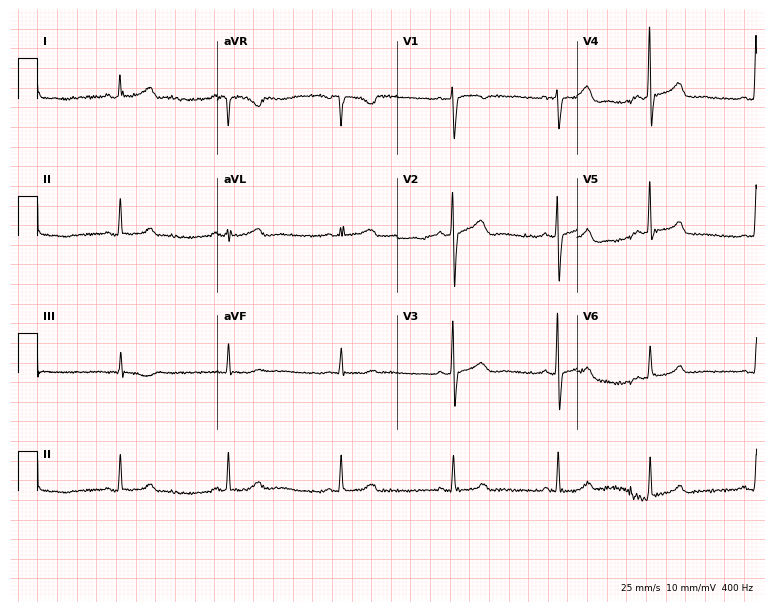
ECG — a 38-year-old female. Screened for six findings — first-degree AV block, right bundle branch block (RBBB), left bundle branch block (LBBB), sinus bradycardia, atrial fibrillation (AF), sinus tachycardia — none is recorded.